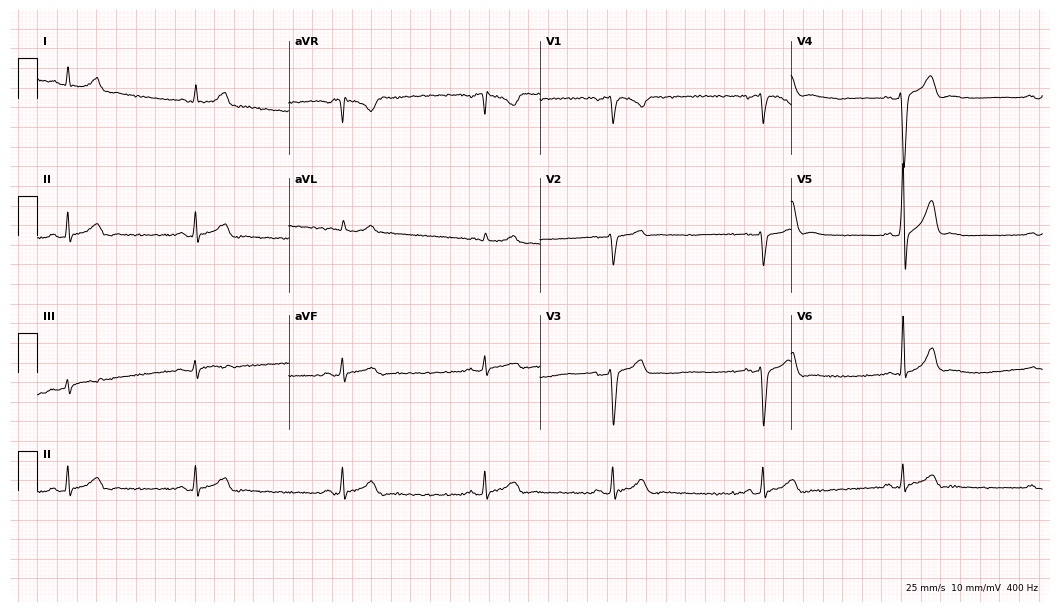
Standard 12-lead ECG recorded from a man, 35 years old. None of these six findings is recorded: first-degree AV block, right bundle branch block, left bundle branch block, sinus bradycardia, atrial fibrillation, sinus tachycardia.